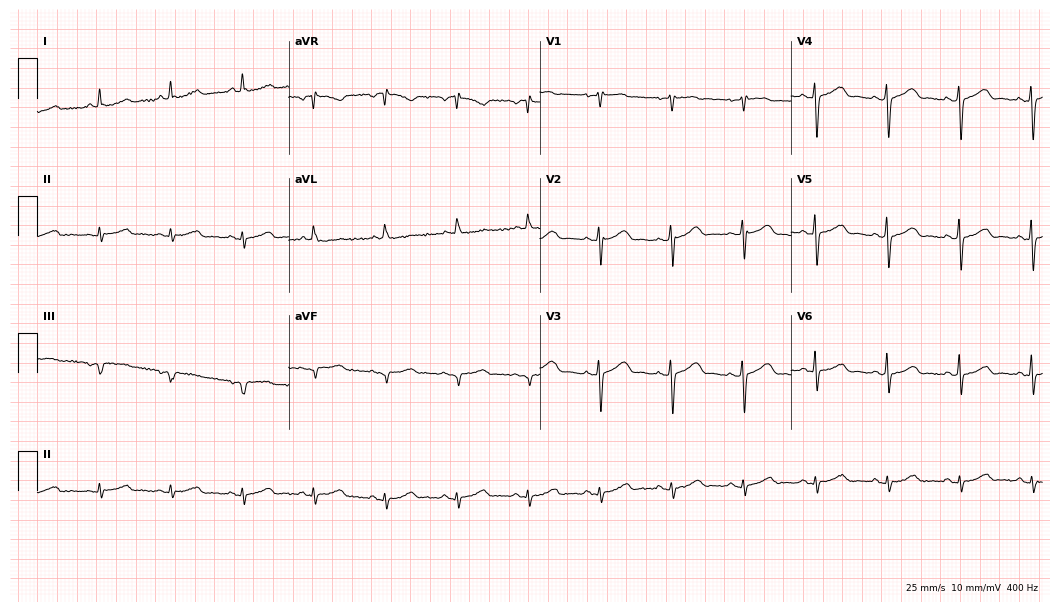
12-lead ECG from a woman, 79 years old. Labelled as a normal ECG.